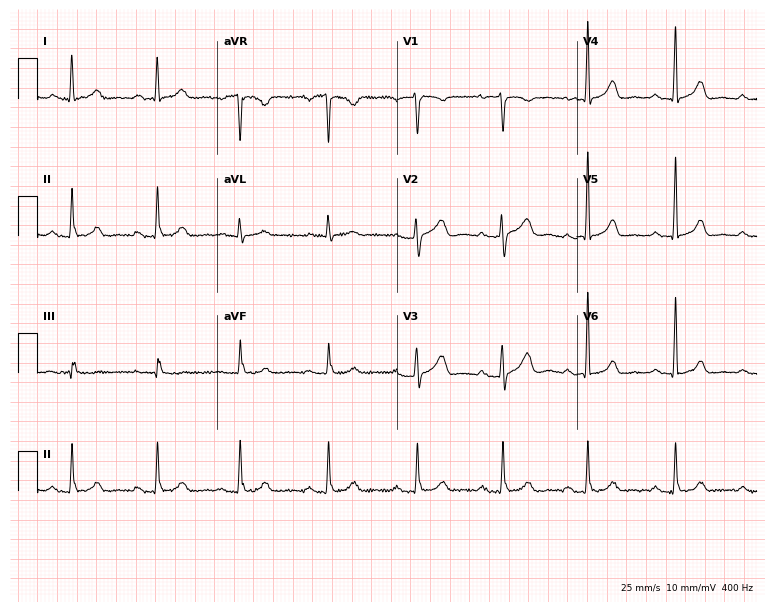
12-lead ECG from a 48-year-old woman (7.3-second recording at 400 Hz). Recorded interpretation: within normal limits.